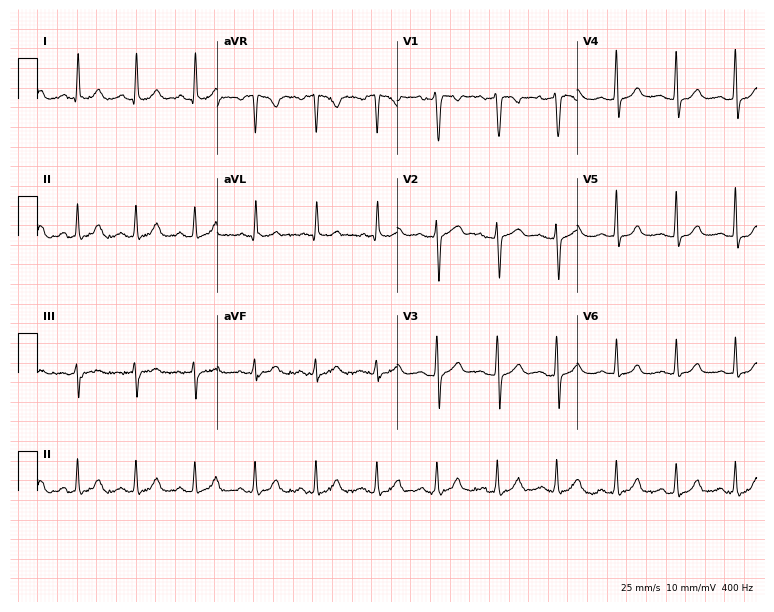
Resting 12-lead electrocardiogram. Patient: a 40-year-old female. Read as a normal ECG.